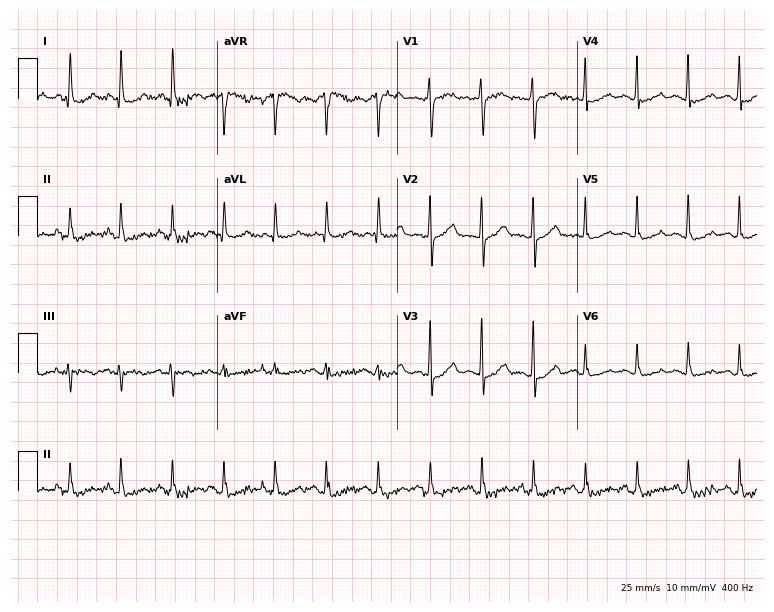
Standard 12-lead ECG recorded from a female, 58 years old. The tracing shows sinus tachycardia (a sinus rate of 100 beats per minute or more).